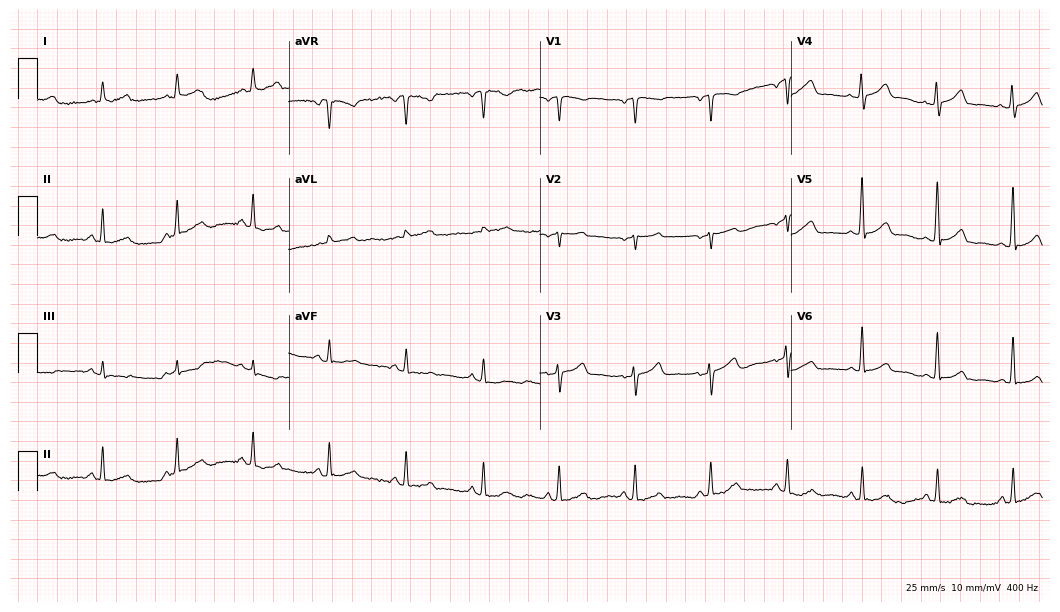
12-lead ECG from a woman, 52 years old (10.2-second recording at 400 Hz). Recorded interpretation: within normal limits.